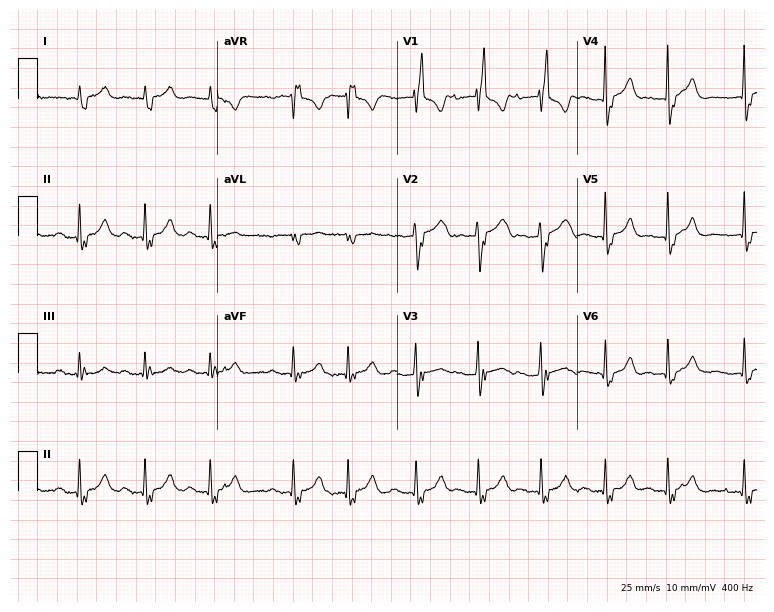
12-lead ECG from a female patient, 34 years old (7.3-second recording at 400 Hz). Shows right bundle branch block (RBBB).